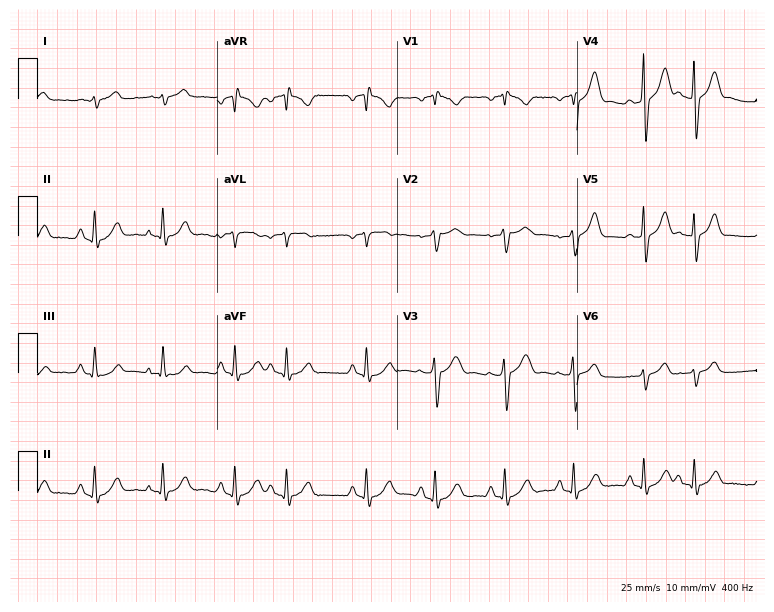
Electrocardiogram (7.3-second recording at 400 Hz), a man, 80 years old. Of the six screened findings (first-degree AV block, right bundle branch block, left bundle branch block, sinus bradycardia, atrial fibrillation, sinus tachycardia), none is recorded. Findings outside these six are not listed.